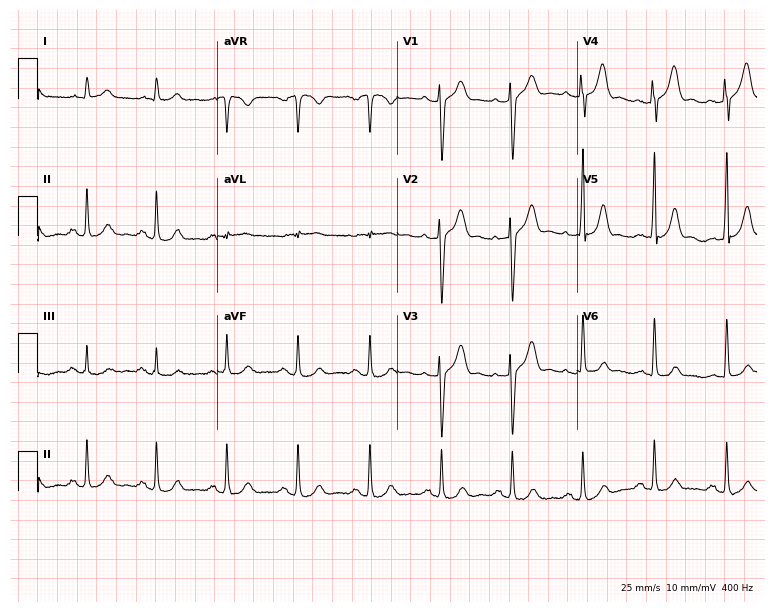
12-lead ECG (7.3-second recording at 400 Hz) from a 54-year-old male. Screened for six findings — first-degree AV block, right bundle branch block, left bundle branch block, sinus bradycardia, atrial fibrillation, sinus tachycardia — none is recorded.